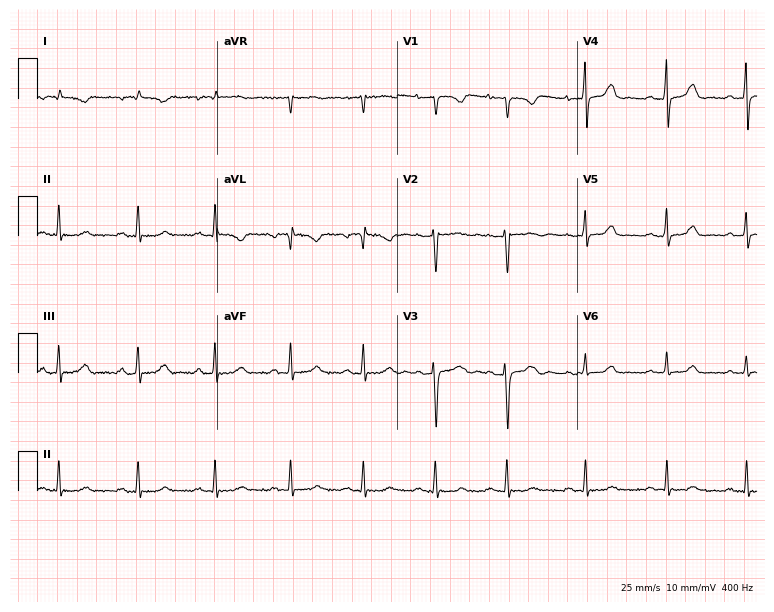
ECG (7.3-second recording at 400 Hz) — a woman, 23 years old. Screened for six findings — first-degree AV block, right bundle branch block (RBBB), left bundle branch block (LBBB), sinus bradycardia, atrial fibrillation (AF), sinus tachycardia — none is recorded.